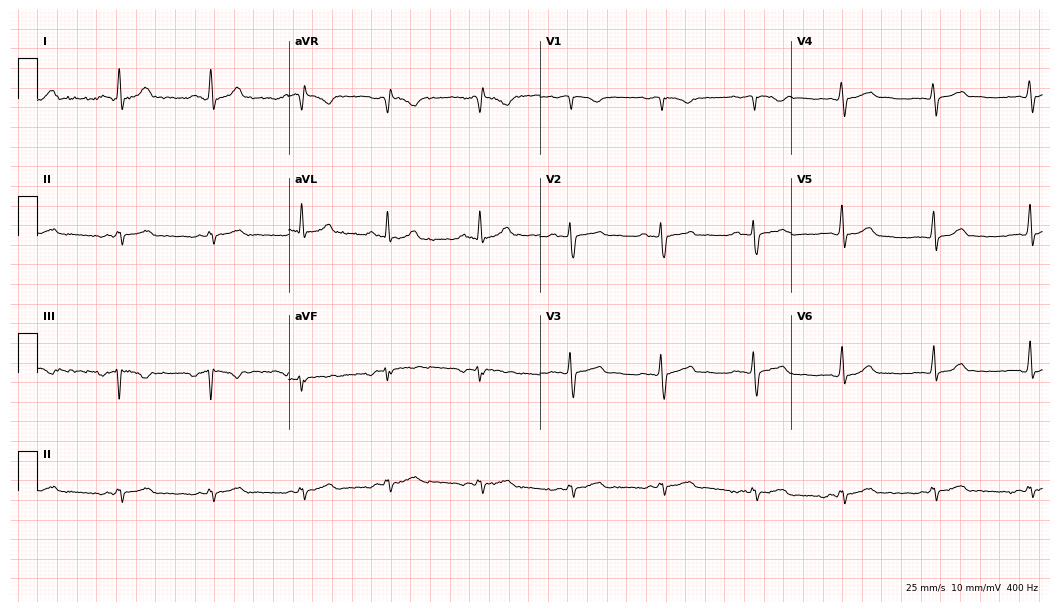
Resting 12-lead electrocardiogram. Patient: a female, 46 years old. None of these six findings is recorded: first-degree AV block, right bundle branch block, left bundle branch block, sinus bradycardia, atrial fibrillation, sinus tachycardia. Other findings, if any, are not listed.